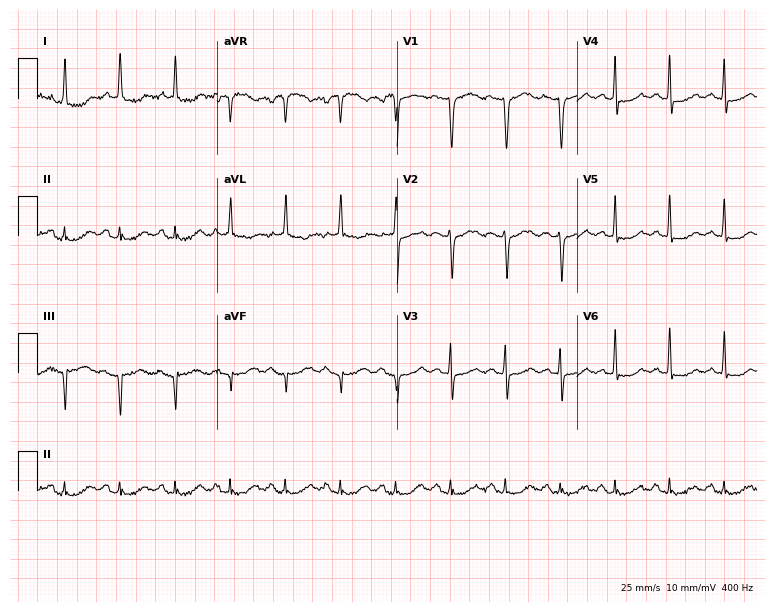
ECG — a 79-year-old woman. Screened for six findings — first-degree AV block, right bundle branch block, left bundle branch block, sinus bradycardia, atrial fibrillation, sinus tachycardia — none is recorded.